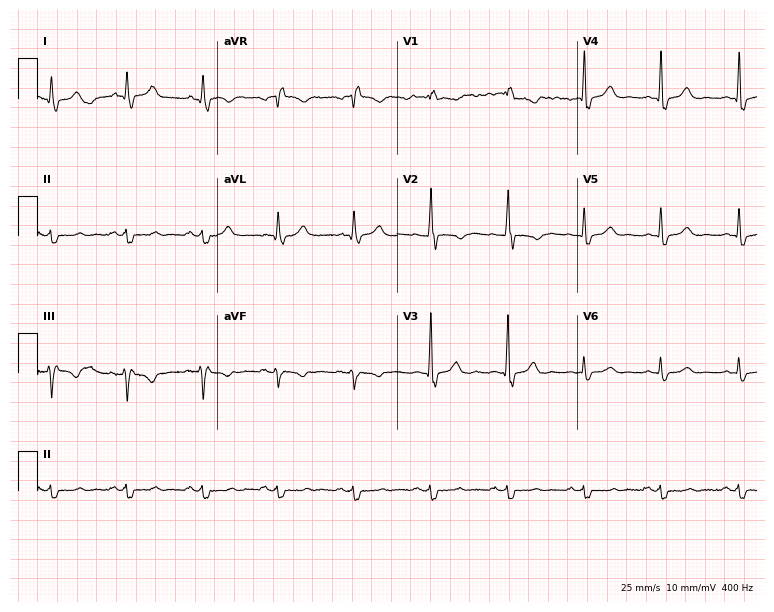
12-lead ECG (7.3-second recording at 400 Hz) from a 38-year-old female patient. Findings include right bundle branch block.